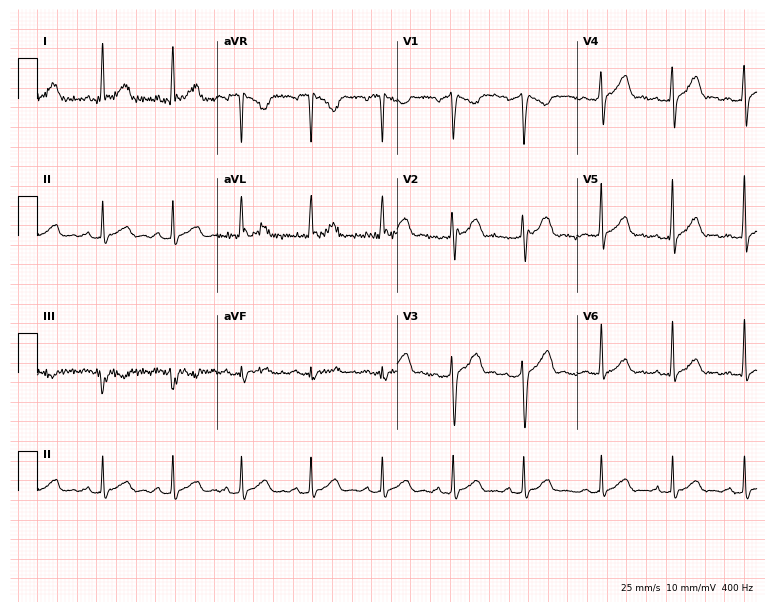
ECG (7.3-second recording at 400 Hz) — a female patient, 37 years old. Labelled as a normal ECG.